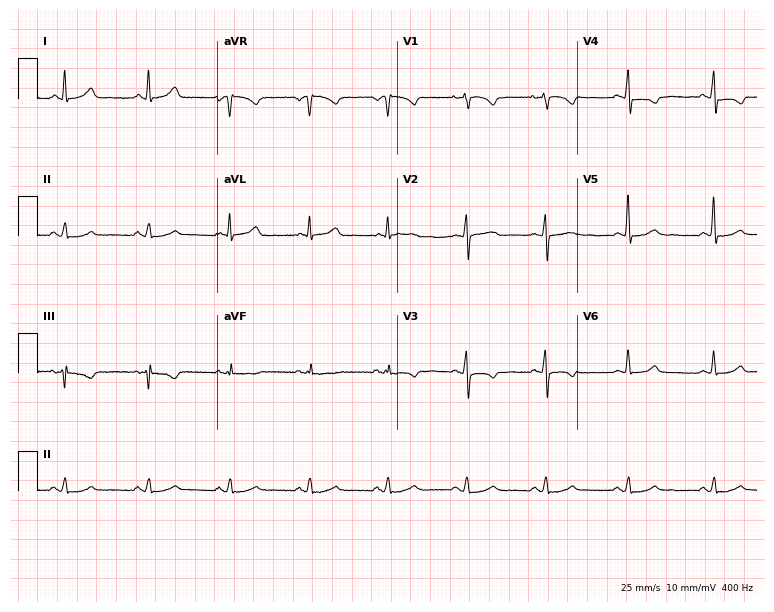
Standard 12-lead ECG recorded from a 65-year-old female patient (7.3-second recording at 400 Hz). None of these six findings is recorded: first-degree AV block, right bundle branch block (RBBB), left bundle branch block (LBBB), sinus bradycardia, atrial fibrillation (AF), sinus tachycardia.